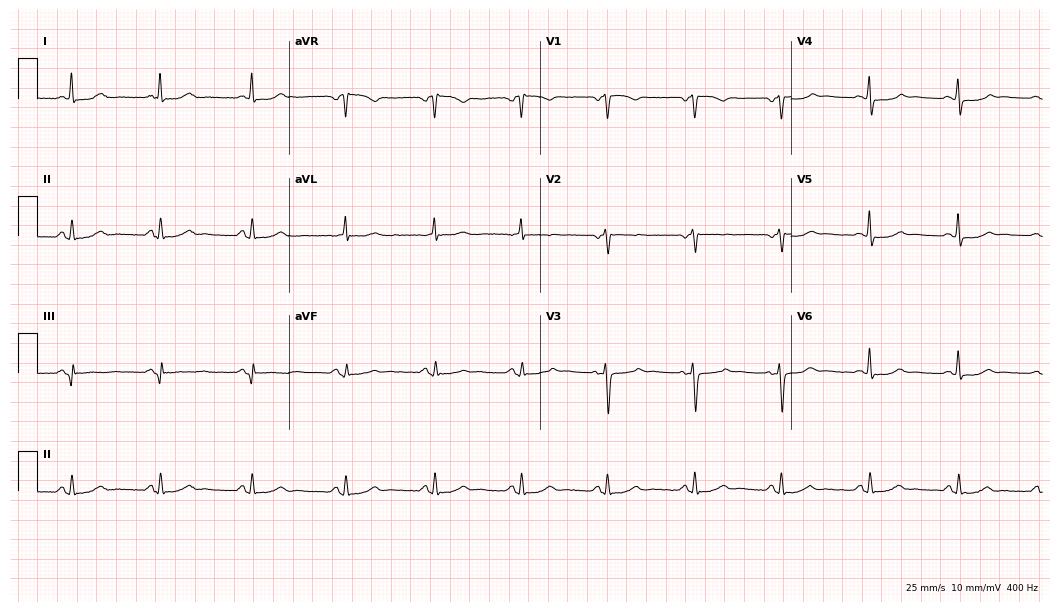
Resting 12-lead electrocardiogram (10.2-second recording at 400 Hz). Patient: a 46-year-old female. None of these six findings is recorded: first-degree AV block, right bundle branch block, left bundle branch block, sinus bradycardia, atrial fibrillation, sinus tachycardia. Findings outside these six are not listed.